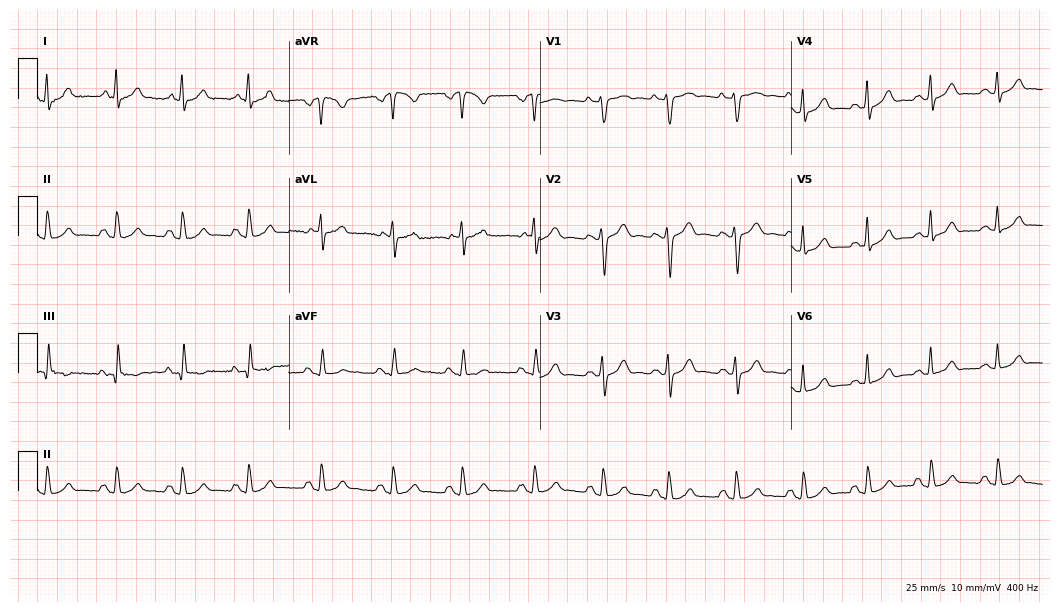
12-lead ECG (10.2-second recording at 400 Hz) from a female patient, 25 years old. Labelled as a normal ECG.